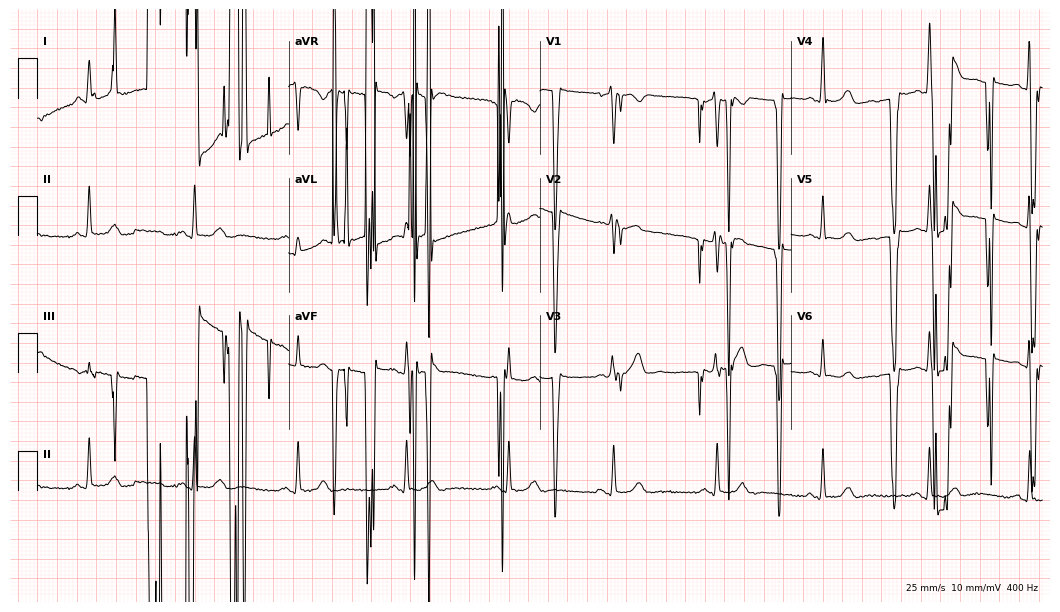
12-lead ECG from a 36-year-old man (10.2-second recording at 400 Hz). No first-degree AV block, right bundle branch block (RBBB), left bundle branch block (LBBB), sinus bradycardia, atrial fibrillation (AF) or sinus tachycardia recorded for this tracing.